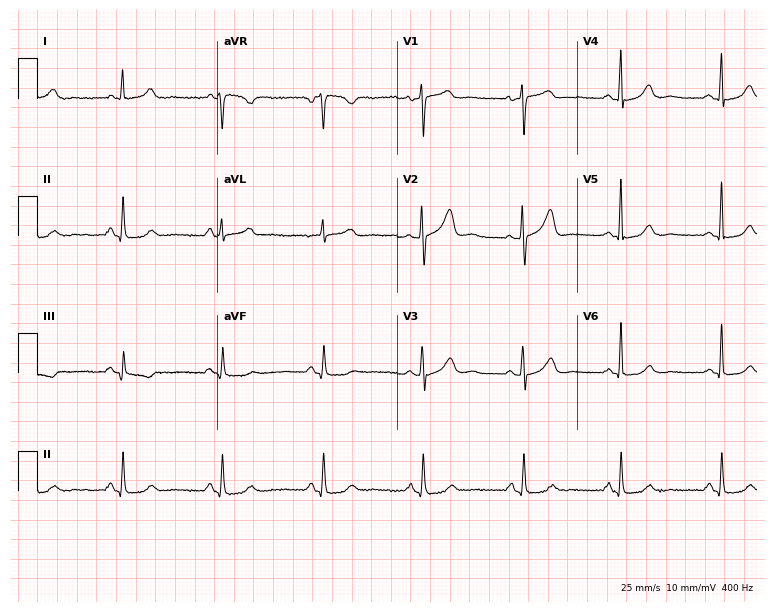
12-lead ECG from a female, 53 years old. Recorded interpretation: within normal limits.